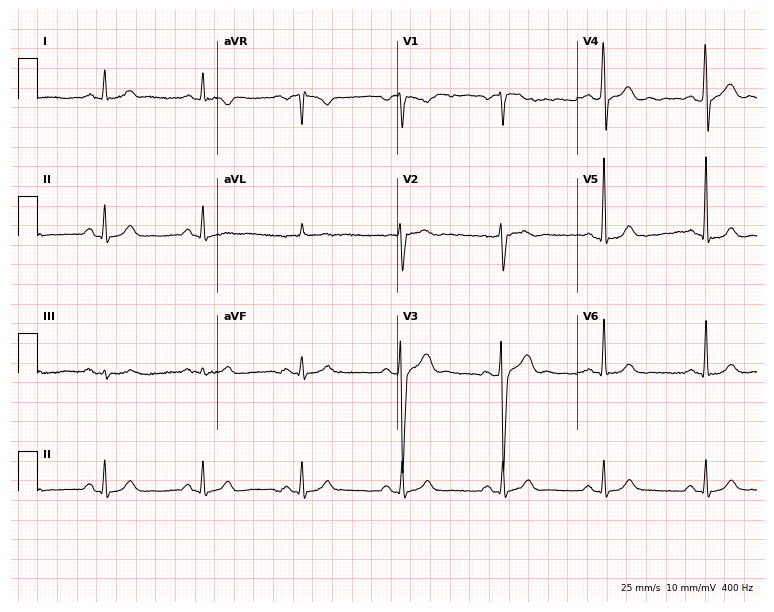
Standard 12-lead ECG recorded from a man, 51 years old (7.3-second recording at 400 Hz). Read as a normal ECG.